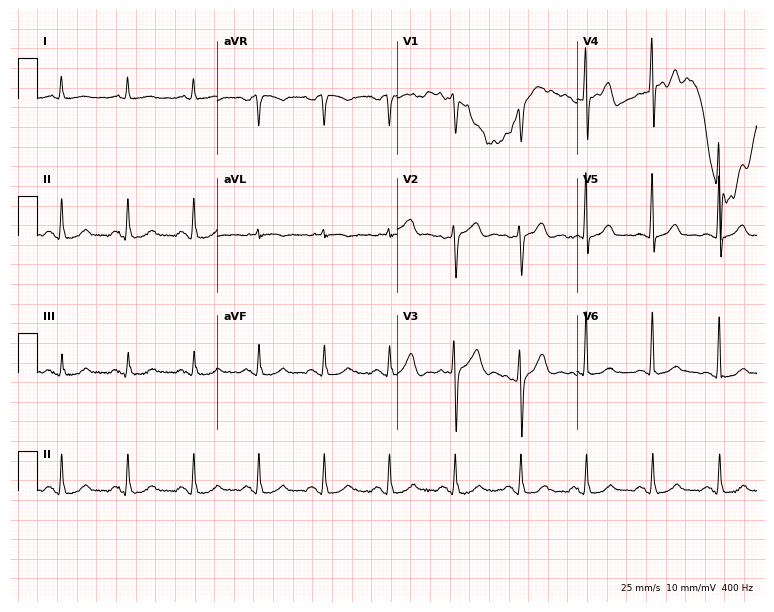
ECG (7.3-second recording at 400 Hz) — a 59-year-old man. Labelled as a normal ECG.